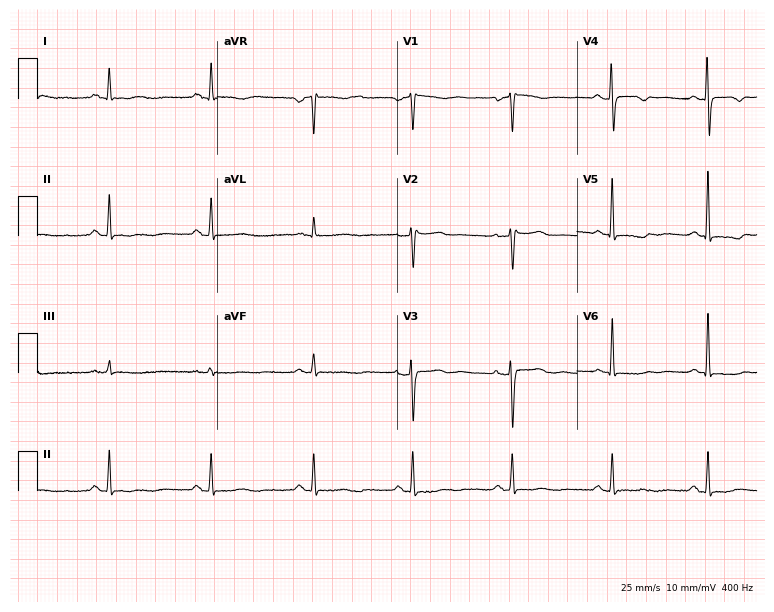
Standard 12-lead ECG recorded from a 50-year-old woman. None of these six findings is recorded: first-degree AV block, right bundle branch block (RBBB), left bundle branch block (LBBB), sinus bradycardia, atrial fibrillation (AF), sinus tachycardia.